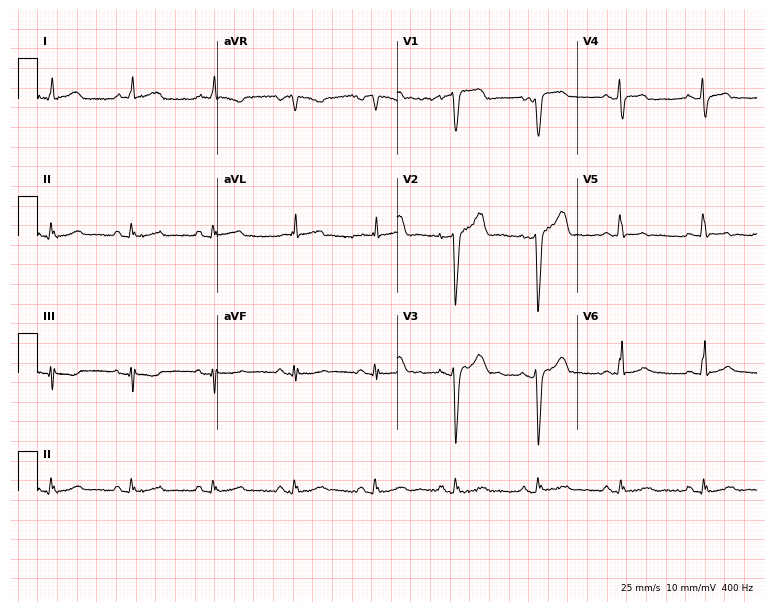
Electrocardiogram, a man, 47 years old. Of the six screened findings (first-degree AV block, right bundle branch block, left bundle branch block, sinus bradycardia, atrial fibrillation, sinus tachycardia), none is recorded.